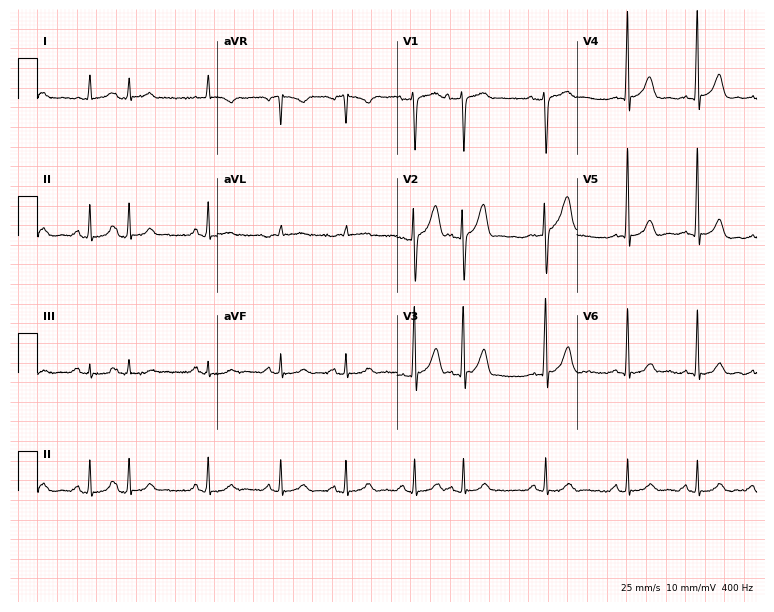
Standard 12-lead ECG recorded from a male, 65 years old (7.3-second recording at 400 Hz). None of these six findings is recorded: first-degree AV block, right bundle branch block, left bundle branch block, sinus bradycardia, atrial fibrillation, sinus tachycardia. Only these six findings were labelled.